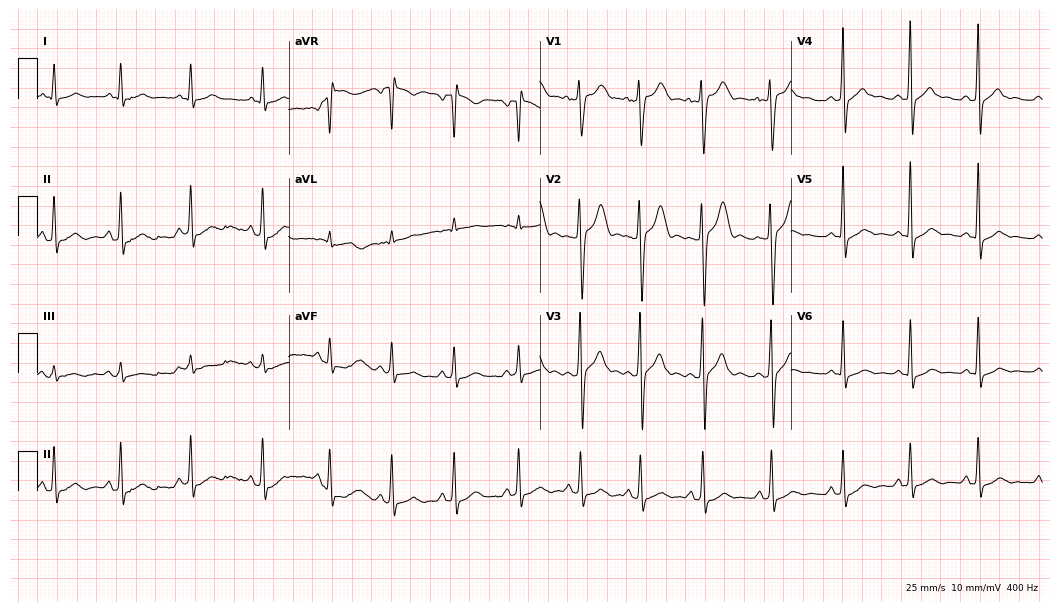
Standard 12-lead ECG recorded from a man, 17 years old. None of these six findings is recorded: first-degree AV block, right bundle branch block (RBBB), left bundle branch block (LBBB), sinus bradycardia, atrial fibrillation (AF), sinus tachycardia.